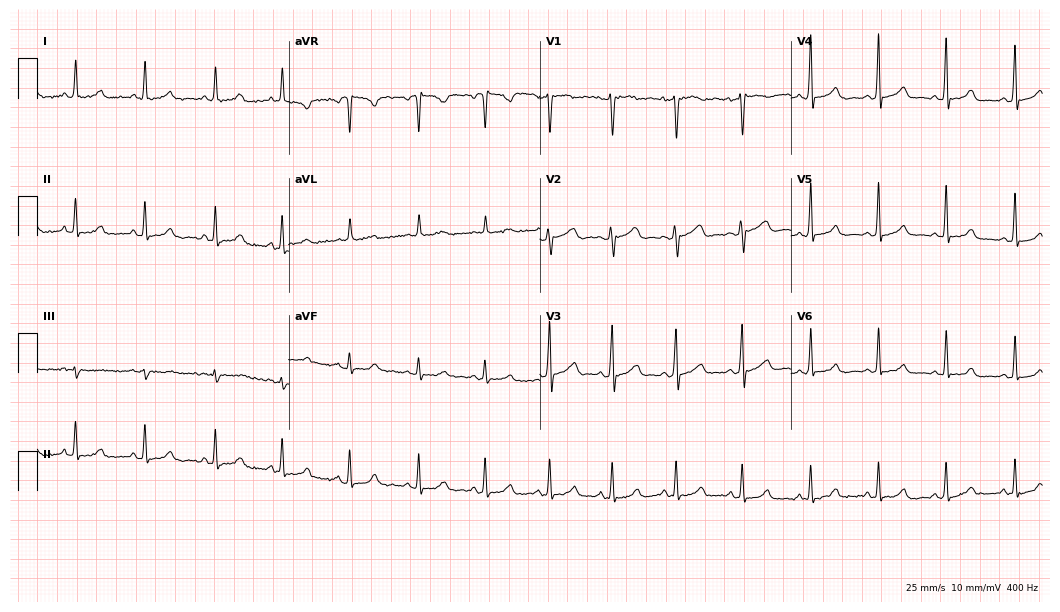
ECG (10.2-second recording at 400 Hz) — a 31-year-old female. Labelled as a normal ECG.